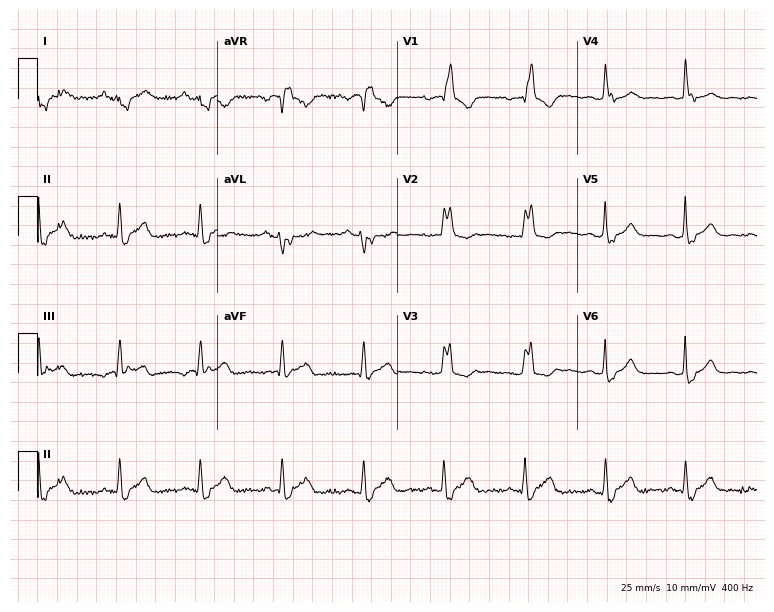
12-lead ECG from a 66-year-old female. No first-degree AV block, right bundle branch block (RBBB), left bundle branch block (LBBB), sinus bradycardia, atrial fibrillation (AF) or sinus tachycardia recorded for this tracing. Other findings, if any, are not listed.